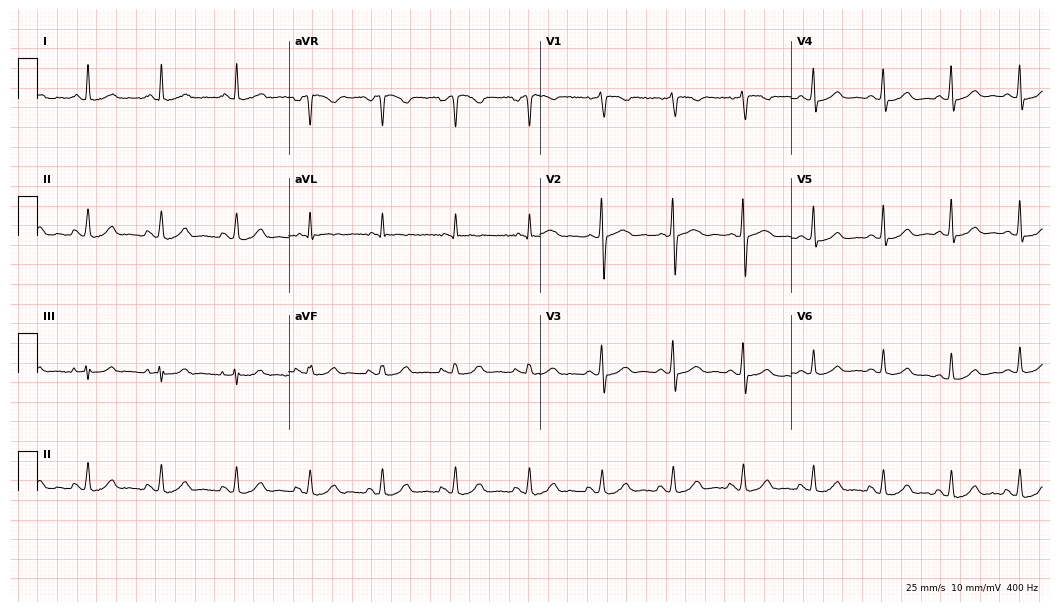
Electrocardiogram (10.2-second recording at 400 Hz), a woman, 67 years old. Overall reading on record: normal ECG.